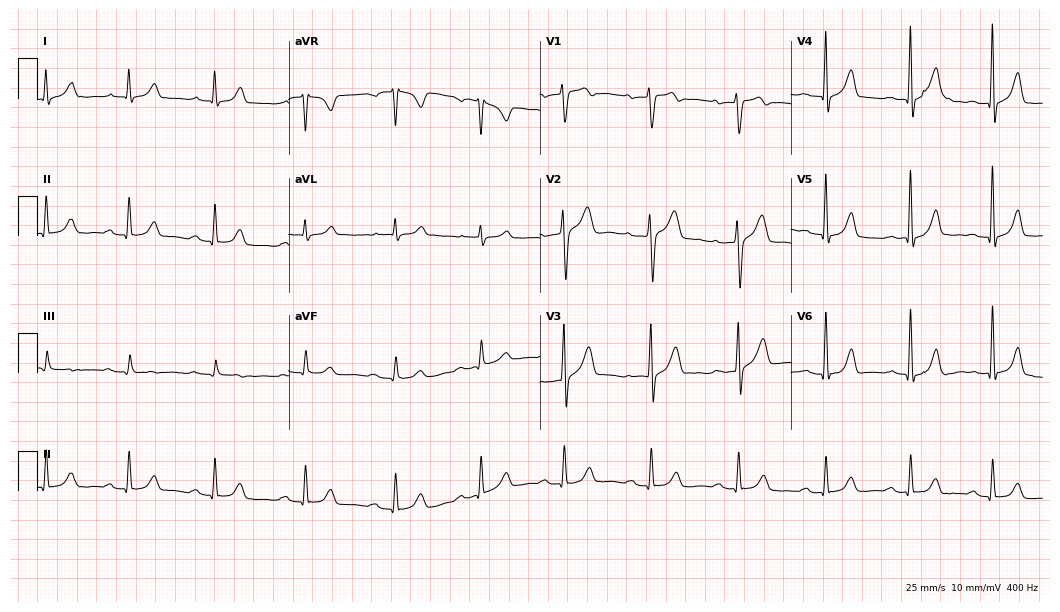
Standard 12-lead ECG recorded from a male patient, 57 years old (10.2-second recording at 400 Hz). The tracing shows first-degree AV block.